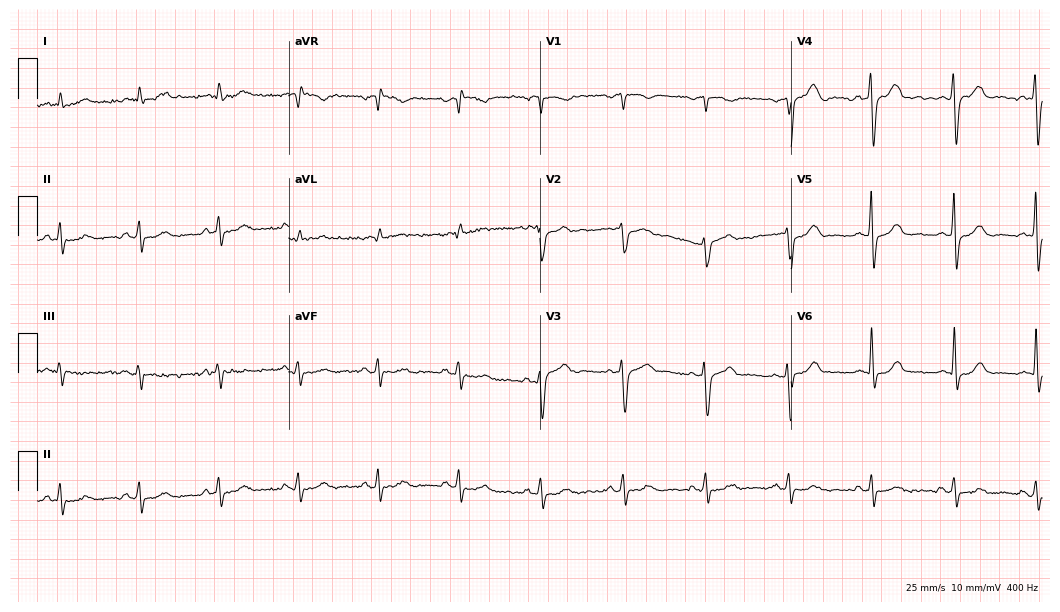
Resting 12-lead electrocardiogram. Patient: a man, 67 years old. None of these six findings is recorded: first-degree AV block, right bundle branch block, left bundle branch block, sinus bradycardia, atrial fibrillation, sinus tachycardia.